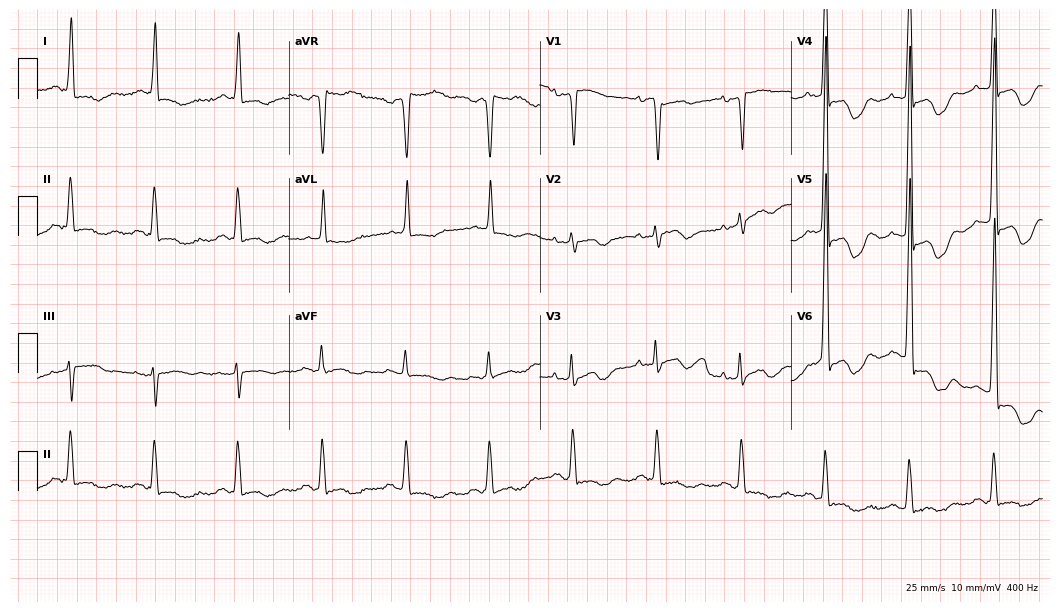
ECG (10.2-second recording at 400 Hz) — a 79-year-old female. Screened for six findings — first-degree AV block, right bundle branch block (RBBB), left bundle branch block (LBBB), sinus bradycardia, atrial fibrillation (AF), sinus tachycardia — none is recorded.